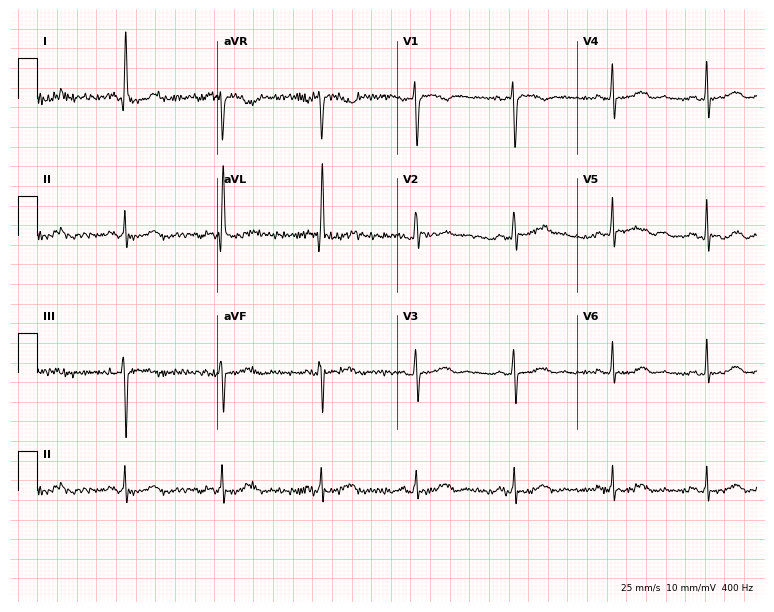
Standard 12-lead ECG recorded from a female, 66 years old (7.3-second recording at 400 Hz). Read as a normal ECG.